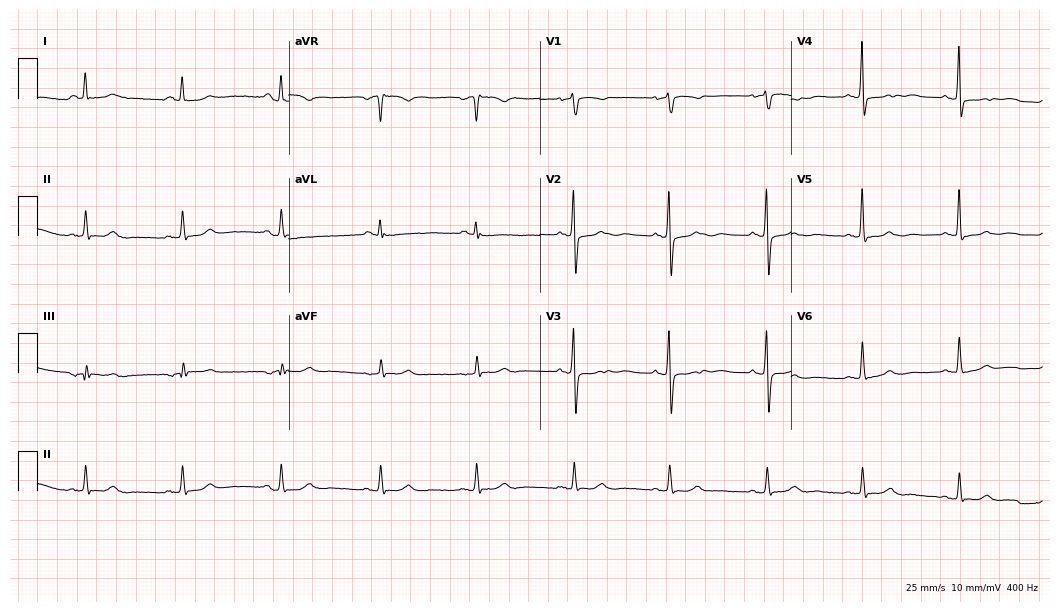
Electrocardiogram (10.2-second recording at 400 Hz), a 70-year-old woman. Of the six screened findings (first-degree AV block, right bundle branch block, left bundle branch block, sinus bradycardia, atrial fibrillation, sinus tachycardia), none is recorded.